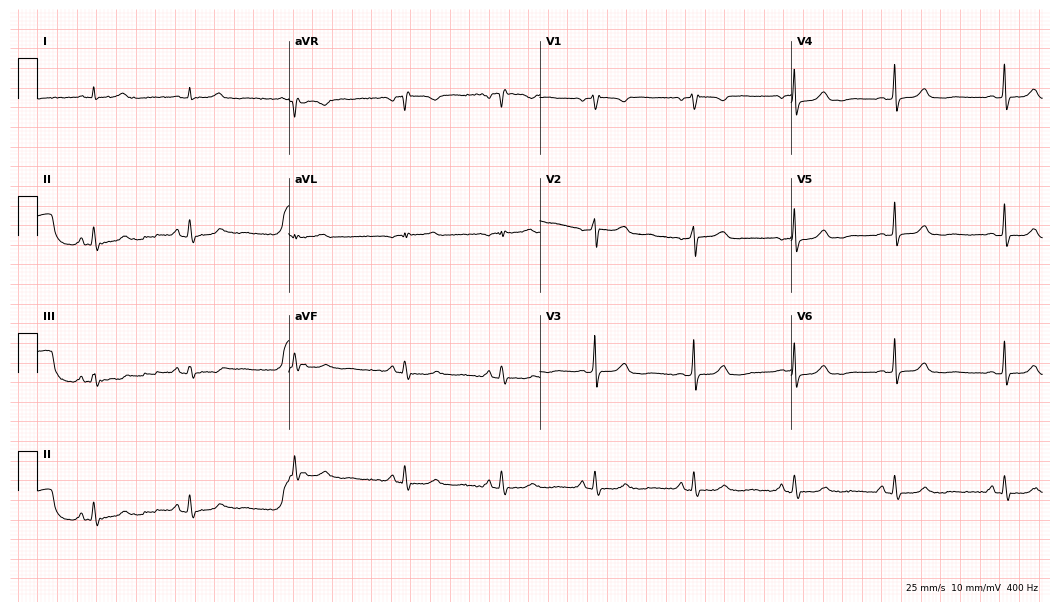
Electrocardiogram, a 48-year-old woman. Overall reading on record: normal ECG.